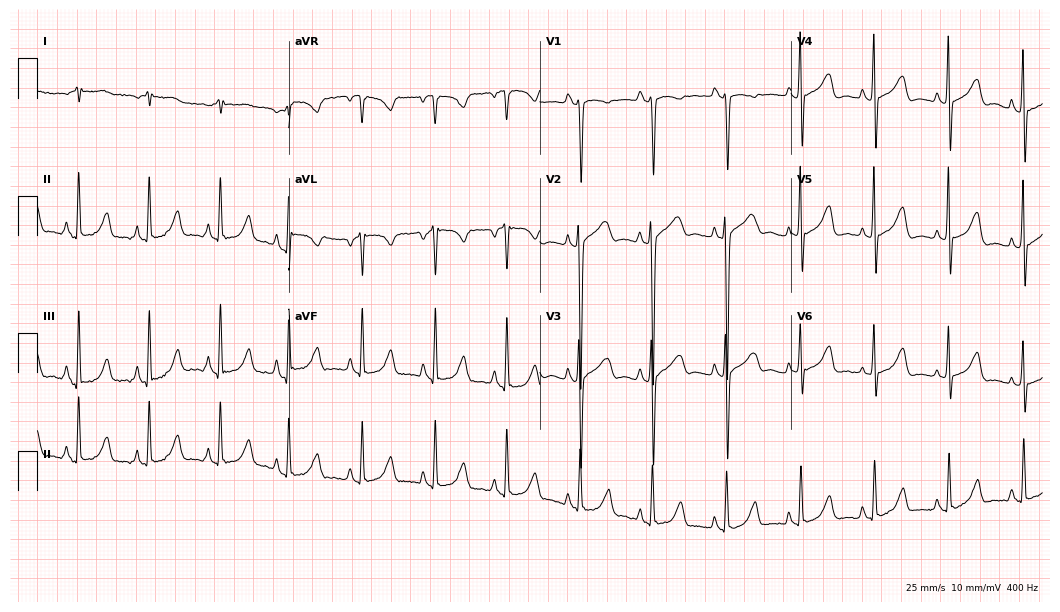
Standard 12-lead ECG recorded from a 79-year-old female (10.2-second recording at 400 Hz). Read as a normal ECG.